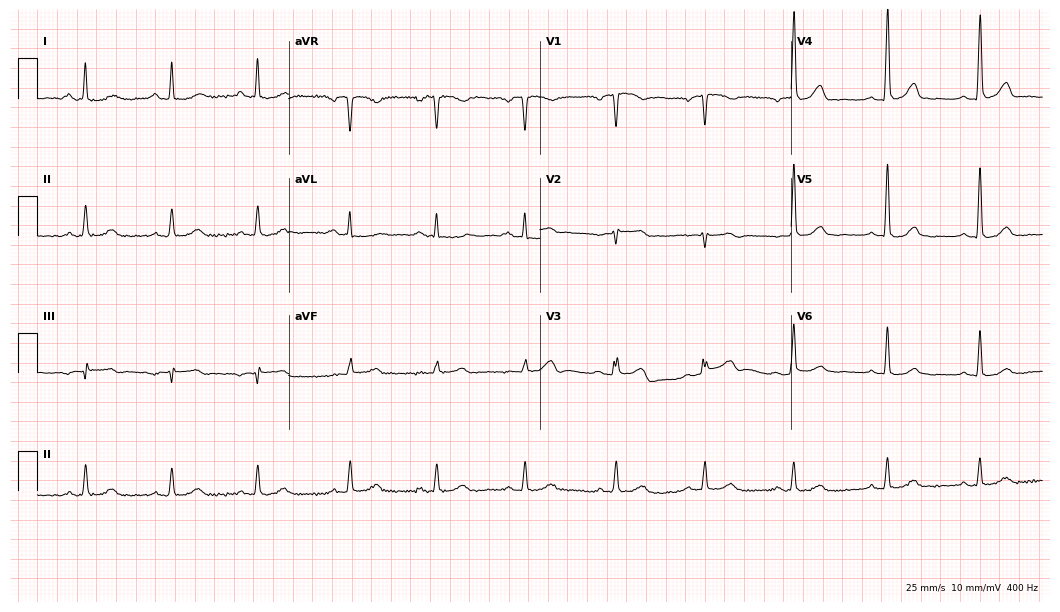
12-lead ECG (10.2-second recording at 400 Hz) from a 77-year-old female. Screened for six findings — first-degree AV block, right bundle branch block, left bundle branch block, sinus bradycardia, atrial fibrillation, sinus tachycardia — none is recorded.